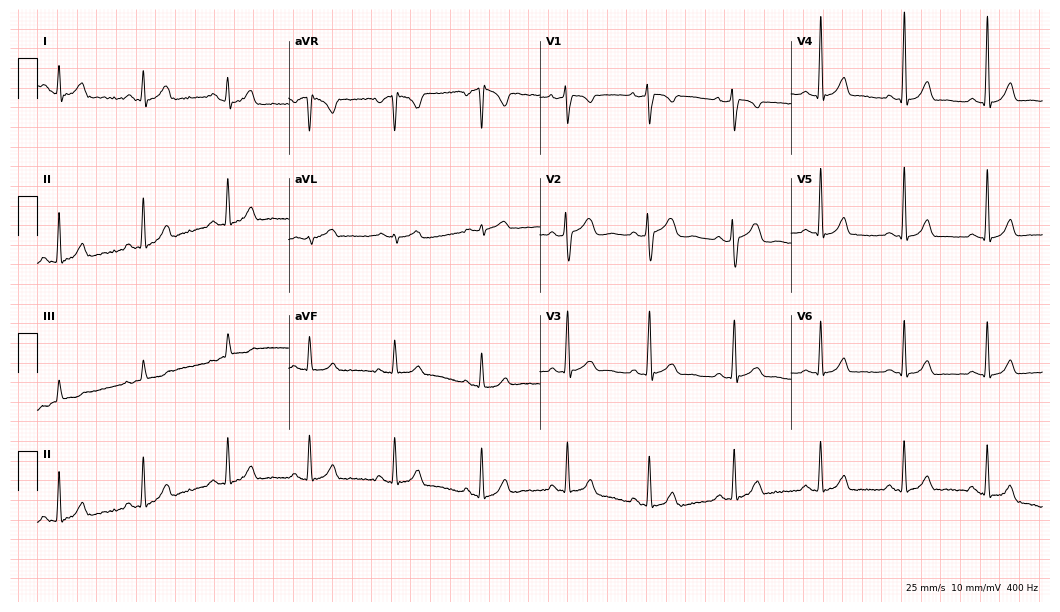
Resting 12-lead electrocardiogram. Patient: a woman, 27 years old. Read as a normal ECG.